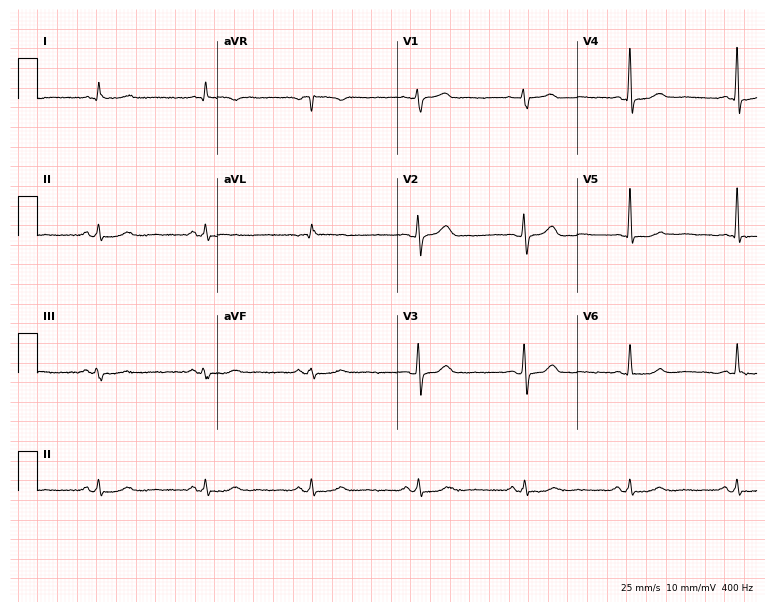
12-lead ECG from a man, 82 years old. Recorded interpretation: within normal limits.